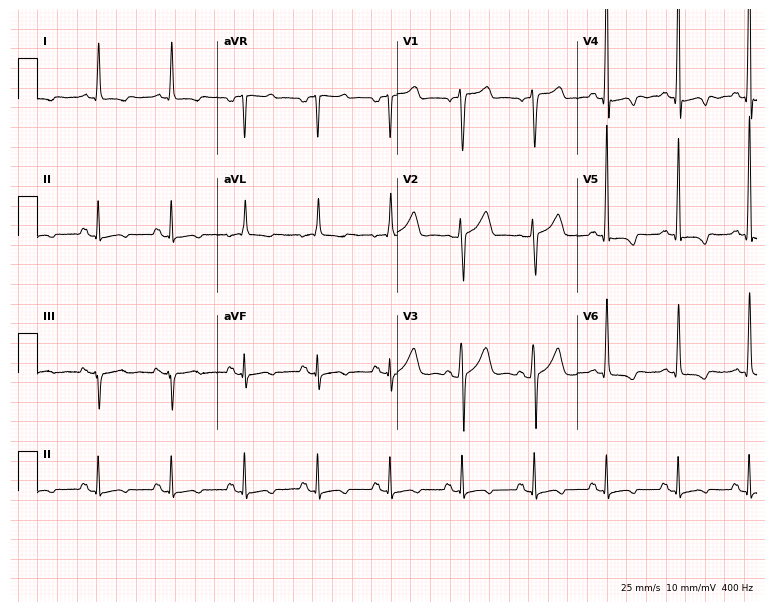
ECG — a male, 77 years old. Screened for six findings — first-degree AV block, right bundle branch block, left bundle branch block, sinus bradycardia, atrial fibrillation, sinus tachycardia — none is recorded.